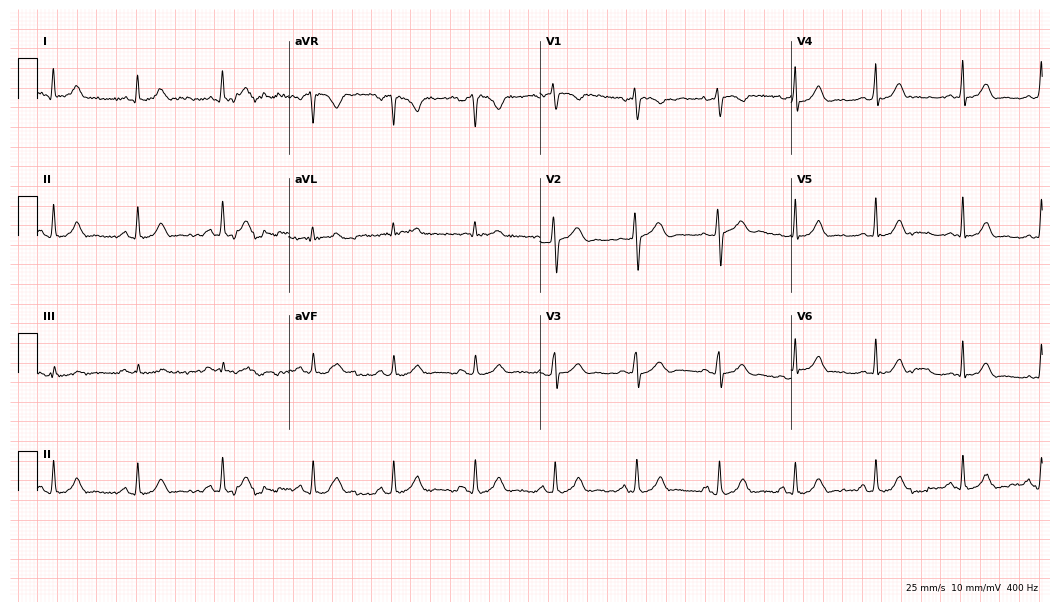
Resting 12-lead electrocardiogram. Patient: a woman, 23 years old. None of these six findings is recorded: first-degree AV block, right bundle branch block, left bundle branch block, sinus bradycardia, atrial fibrillation, sinus tachycardia. Only these six findings were labelled.